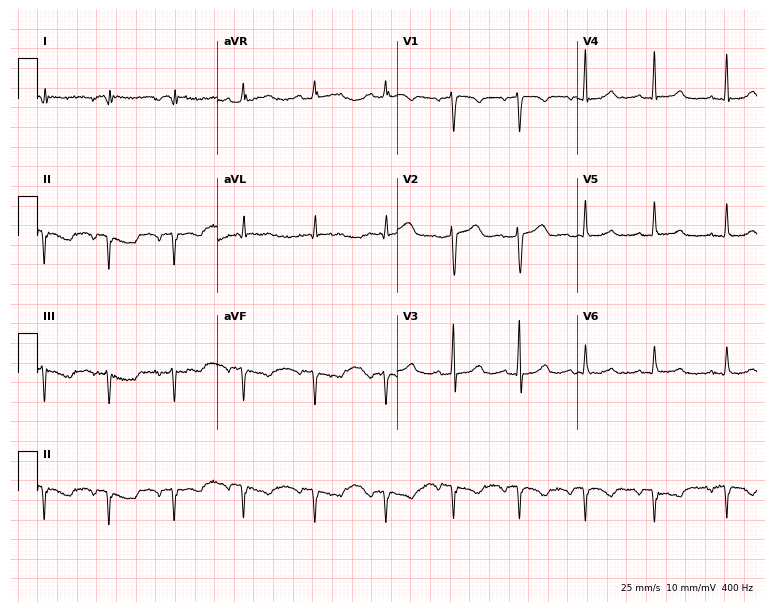
Electrocardiogram, a female, 46 years old. Of the six screened findings (first-degree AV block, right bundle branch block, left bundle branch block, sinus bradycardia, atrial fibrillation, sinus tachycardia), none is recorded.